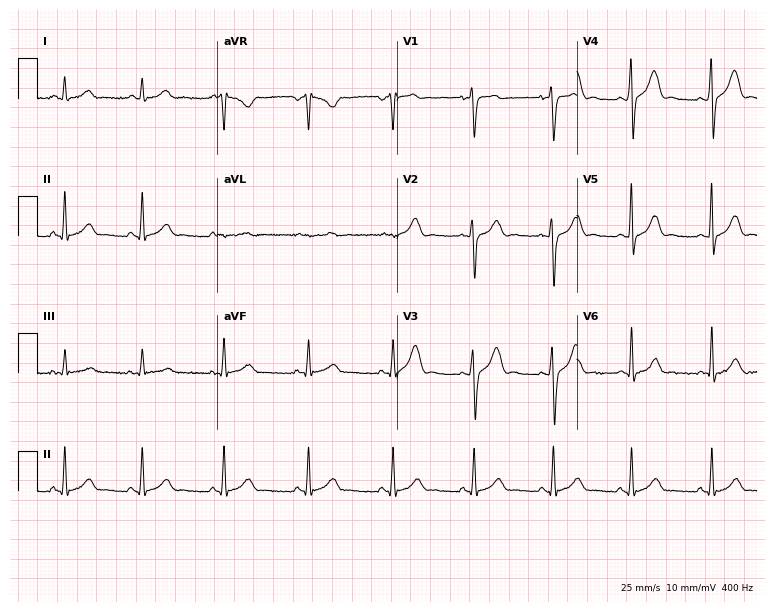
Electrocardiogram (7.3-second recording at 400 Hz), a 24-year-old male patient. Of the six screened findings (first-degree AV block, right bundle branch block (RBBB), left bundle branch block (LBBB), sinus bradycardia, atrial fibrillation (AF), sinus tachycardia), none is recorded. Other findings, if any, are not listed.